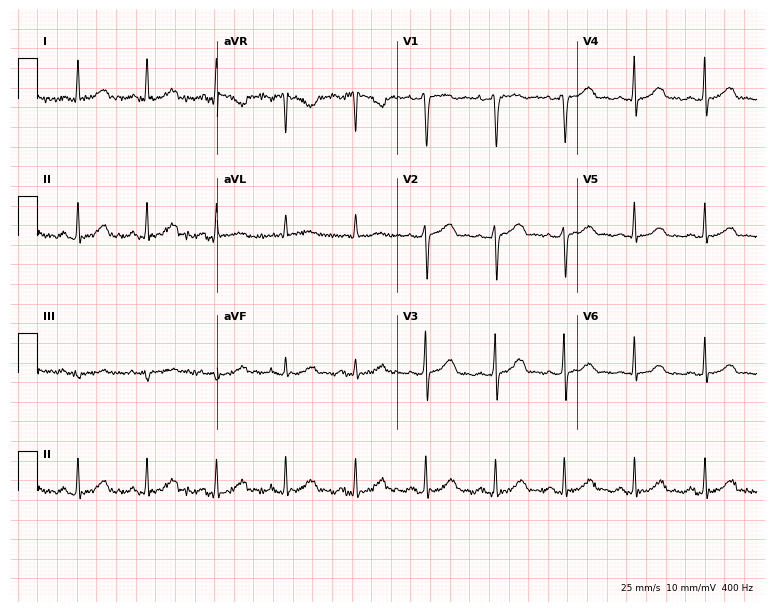
12-lead ECG from a 53-year-old female patient (7.3-second recording at 400 Hz). No first-degree AV block, right bundle branch block, left bundle branch block, sinus bradycardia, atrial fibrillation or sinus tachycardia recorded for this tracing. Other findings, if any, are not listed.